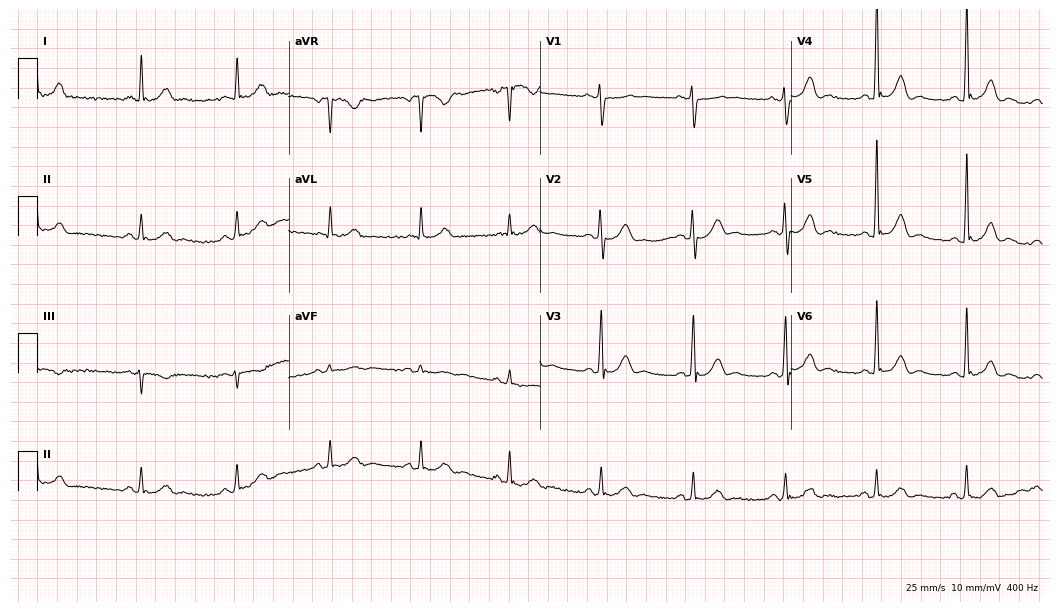
Standard 12-lead ECG recorded from a man, 62 years old. None of these six findings is recorded: first-degree AV block, right bundle branch block, left bundle branch block, sinus bradycardia, atrial fibrillation, sinus tachycardia. Findings outside these six are not listed.